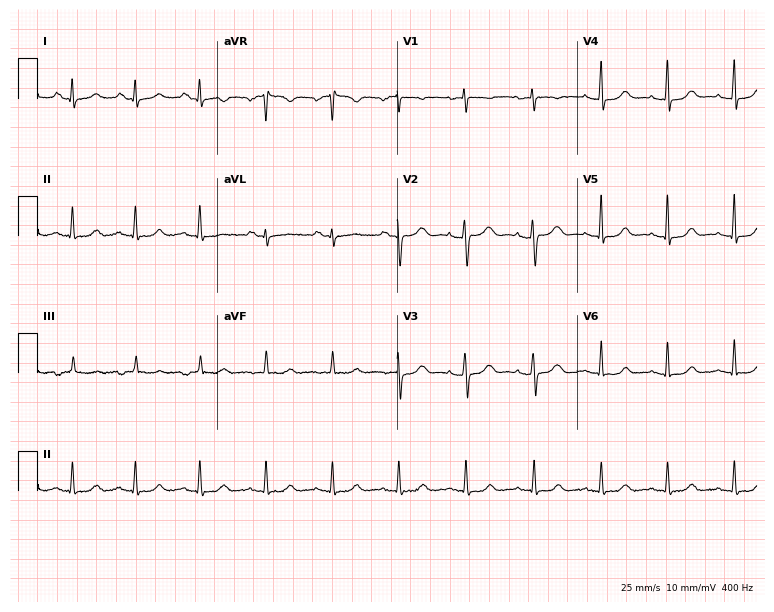
ECG (7.3-second recording at 400 Hz) — a 48-year-old female. Labelled as a normal ECG.